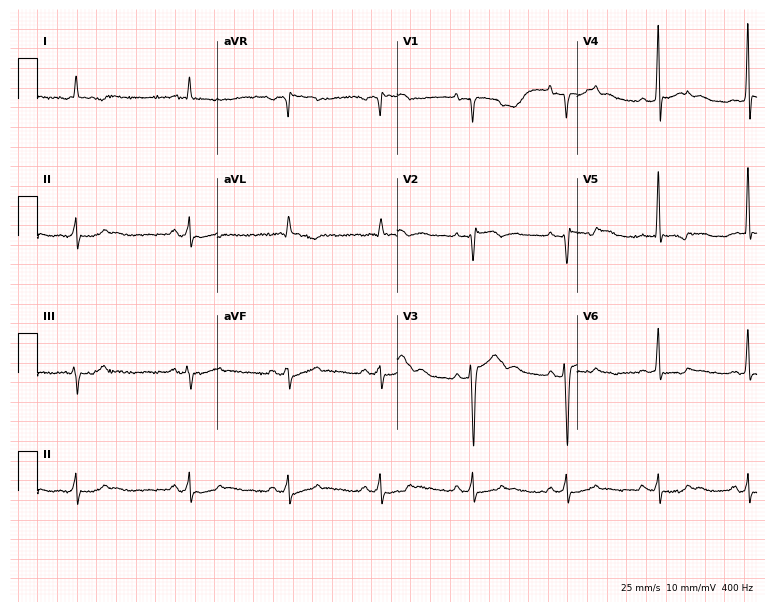
12-lead ECG from a 50-year-old male. No first-degree AV block, right bundle branch block, left bundle branch block, sinus bradycardia, atrial fibrillation or sinus tachycardia recorded for this tracing.